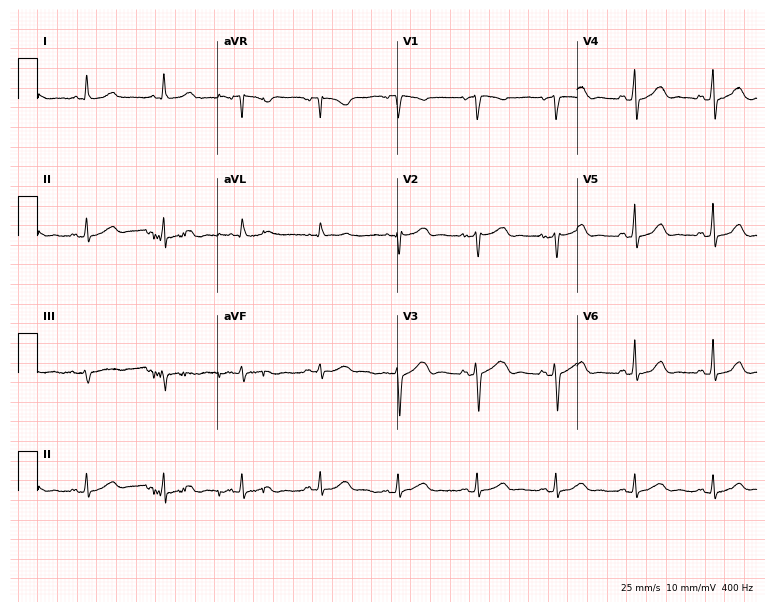
Resting 12-lead electrocardiogram. Patient: a female, 69 years old. Read as a normal ECG.